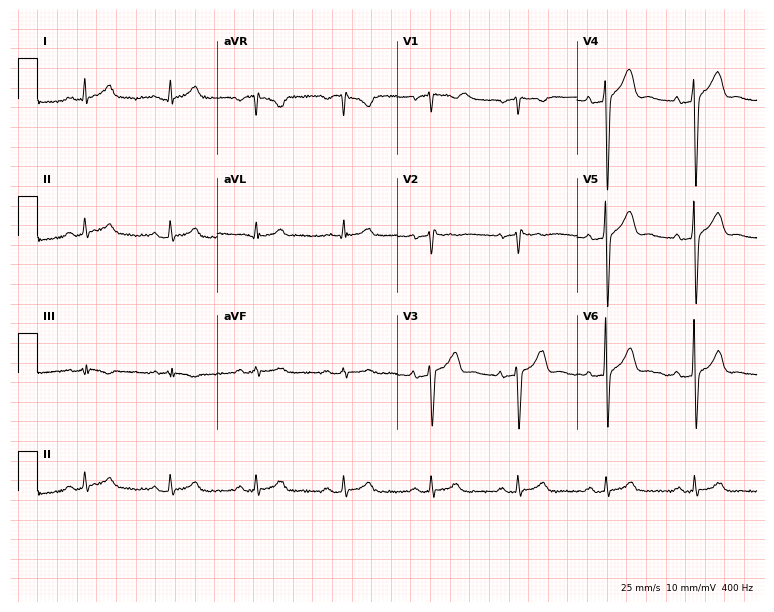
Resting 12-lead electrocardiogram. Patient: a 49-year-old male. None of these six findings is recorded: first-degree AV block, right bundle branch block, left bundle branch block, sinus bradycardia, atrial fibrillation, sinus tachycardia. Only these six findings were labelled.